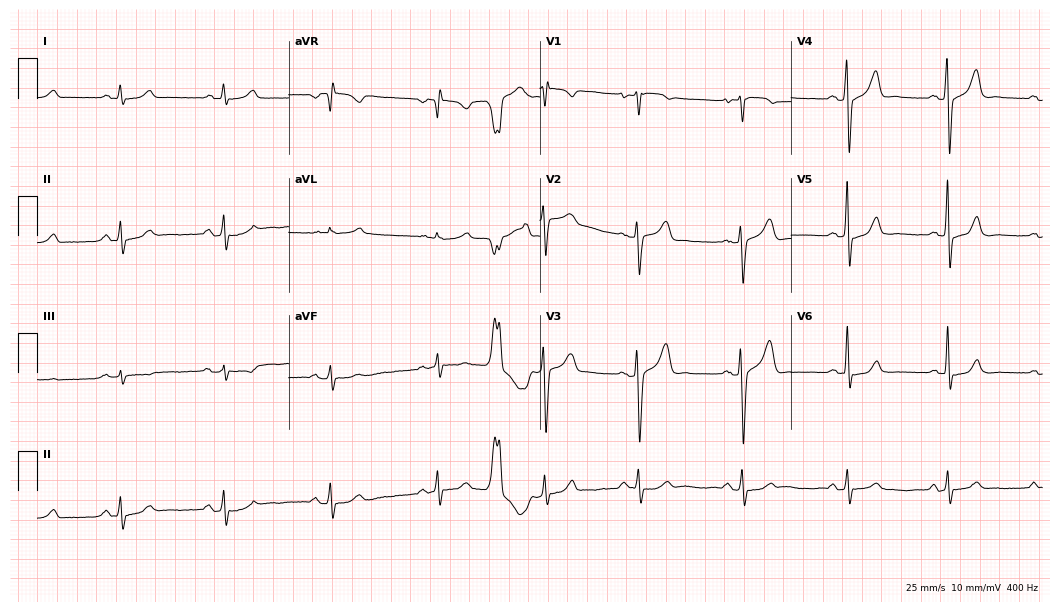
Electrocardiogram, a 47-year-old man. Of the six screened findings (first-degree AV block, right bundle branch block, left bundle branch block, sinus bradycardia, atrial fibrillation, sinus tachycardia), none is recorded.